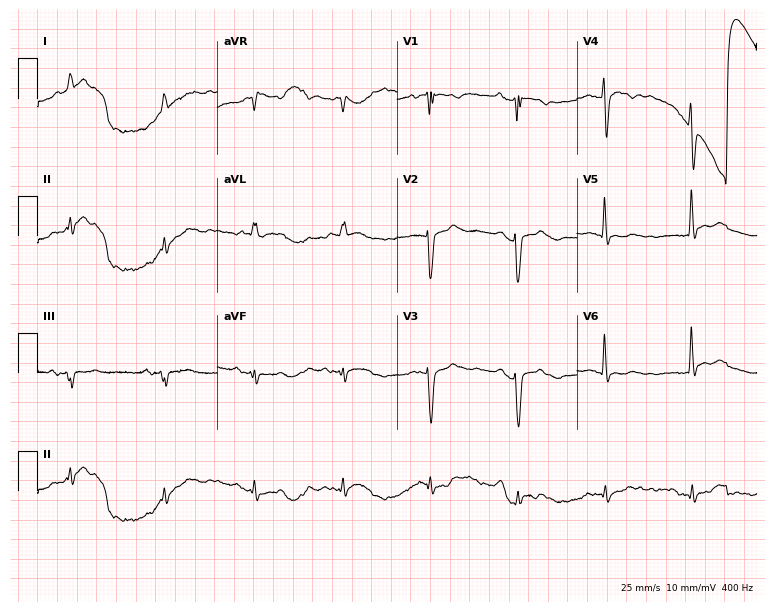
Standard 12-lead ECG recorded from a female, 83 years old. None of these six findings is recorded: first-degree AV block, right bundle branch block, left bundle branch block, sinus bradycardia, atrial fibrillation, sinus tachycardia.